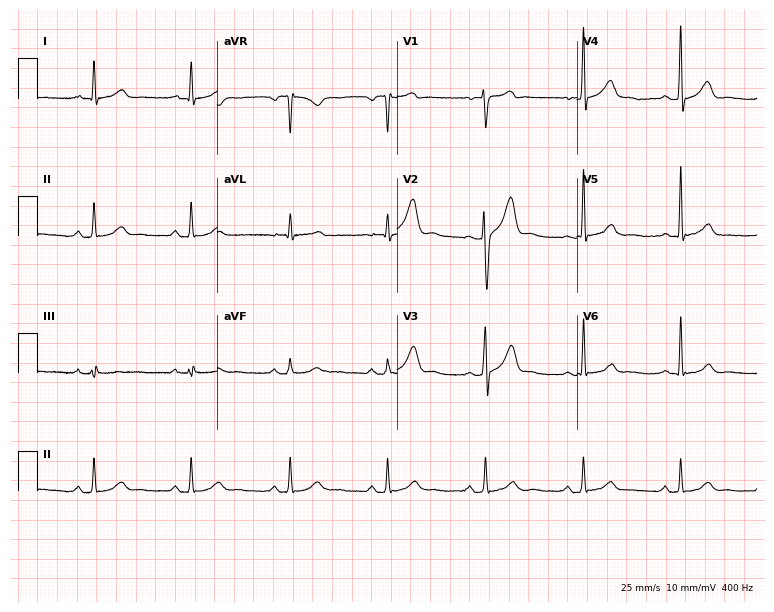
Resting 12-lead electrocardiogram. Patient: a male, 42 years old. Read as a normal ECG.